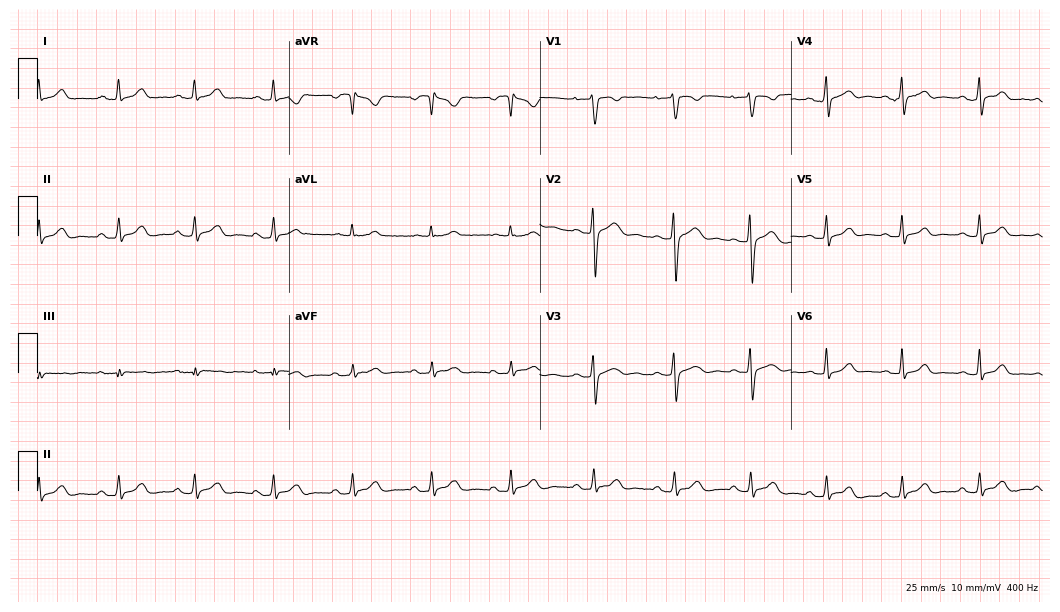
12-lead ECG from a 28-year-old woman (10.2-second recording at 400 Hz). Recorded interpretation: within normal limits.